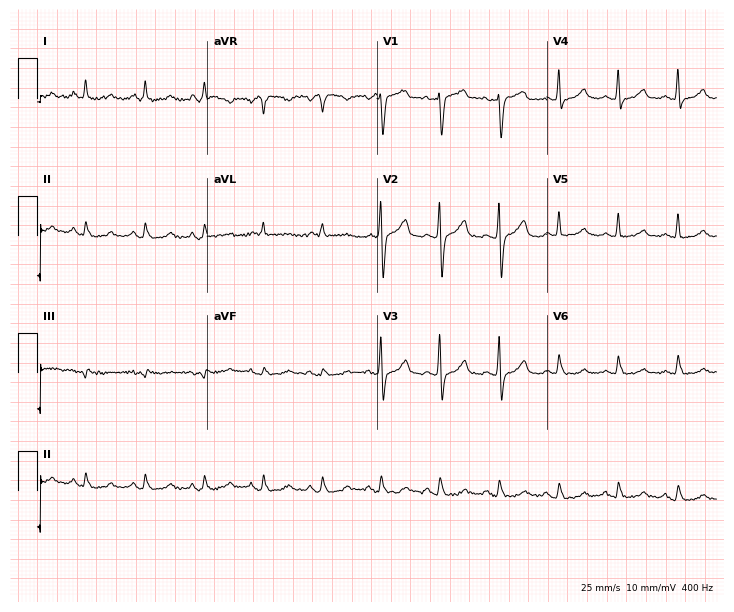
Electrocardiogram, a 61-year-old female. Of the six screened findings (first-degree AV block, right bundle branch block, left bundle branch block, sinus bradycardia, atrial fibrillation, sinus tachycardia), none is recorded.